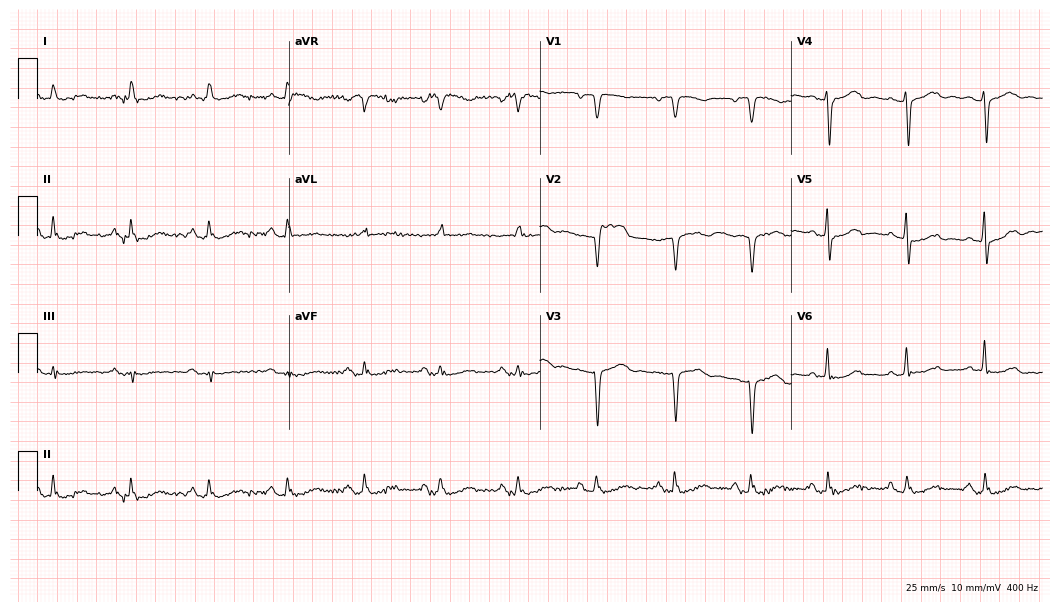
Electrocardiogram (10.2-second recording at 400 Hz), a 70-year-old woman. Of the six screened findings (first-degree AV block, right bundle branch block (RBBB), left bundle branch block (LBBB), sinus bradycardia, atrial fibrillation (AF), sinus tachycardia), none is recorded. Other findings, if any, are not listed.